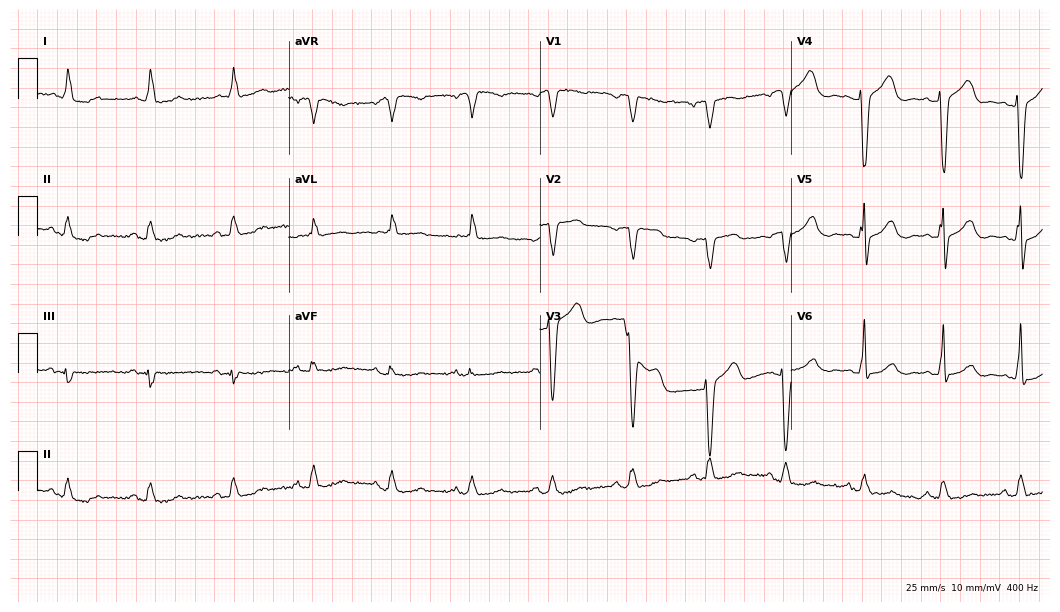
Standard 12-lead ECG recorded from a woman, 80 years old. None of these six findings is recorded: first-degree AV block, right bundle branch block (RBBB), left bundle branch block (LBBB), sinus bradycardia, atrial fibrillation (AF), sinus tachycardia. Only these six findings were labelled.